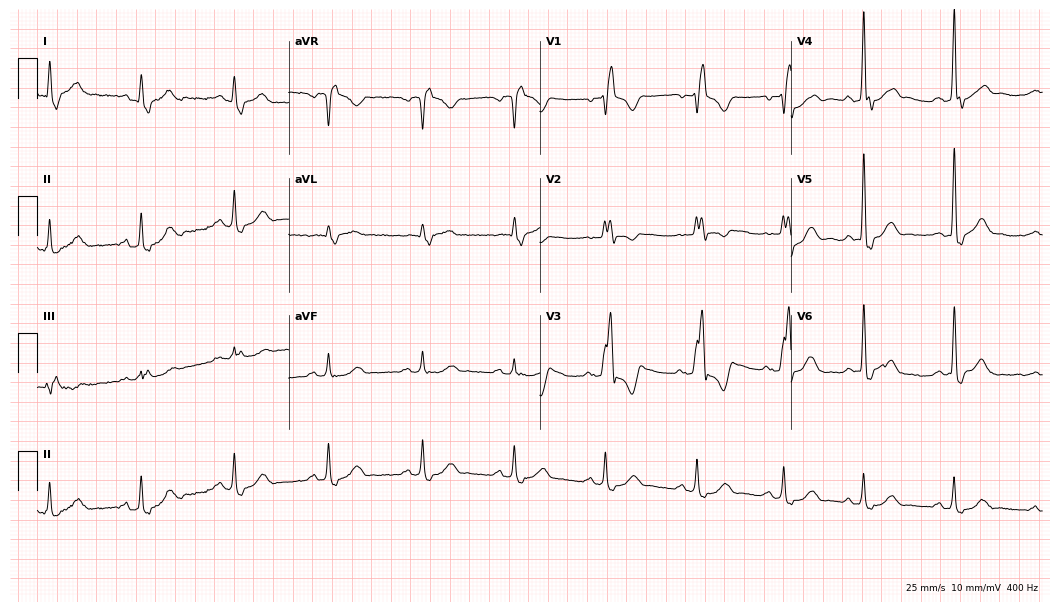
12-lead ECG from a 60-year-old male patient. Findings include right bundle branch block.